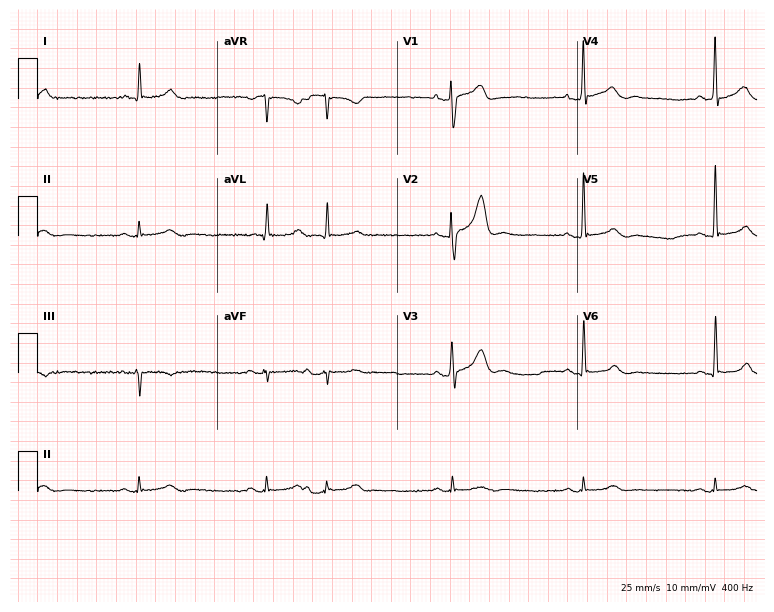
Standard 12-lead ECG recorded from a 79-year-old female. None of these six findings is recorded: first-degree AV block, right bundle branch block, left bundle branch block, sinus bradycardia, atrial fibrillation, sinus tachycardia. Only these six findings were labelled.